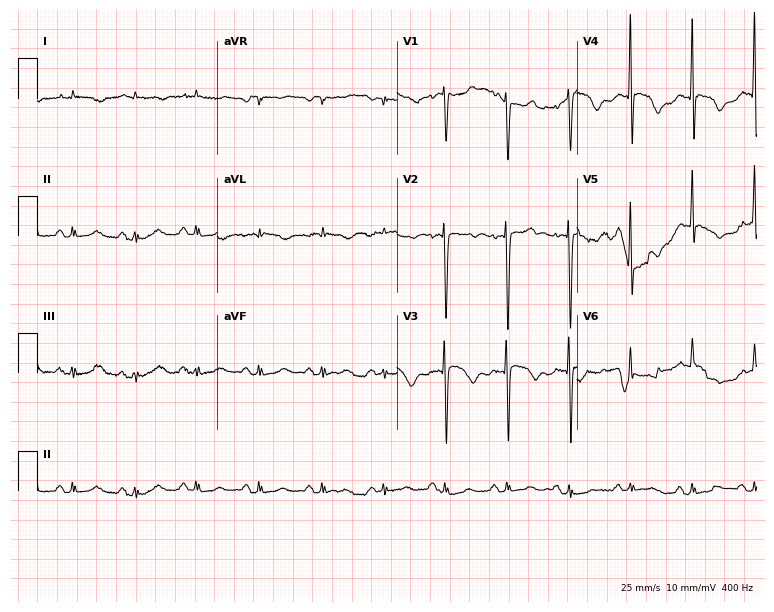
Electrocardiogram (7.3-second recording at 400 Hz), a female patient, 81 years old. Of the six screened findings (first-degree AV block, right bundle branch block (RBBB), left bundle branch block (LBBB), sinus bradycardia, atrial fibrillation (AF), sinus tachycardia), none is recorded. Findings outside these six are not listed.